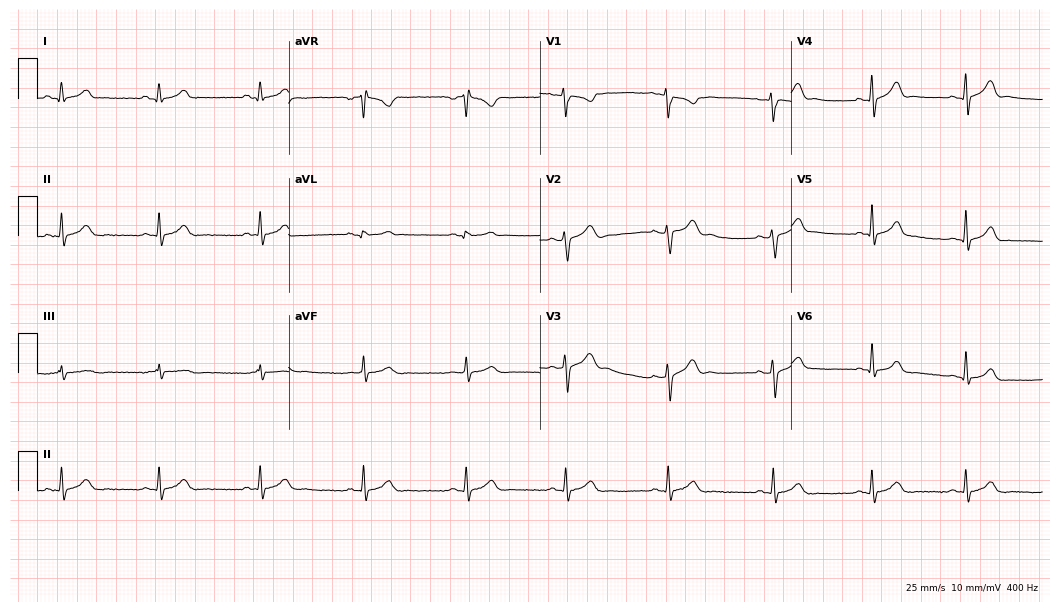
Electrocardiogram (10.2-second recording at 400 Hz), a female, 20 years old. Overall reading on record: normal ECG.